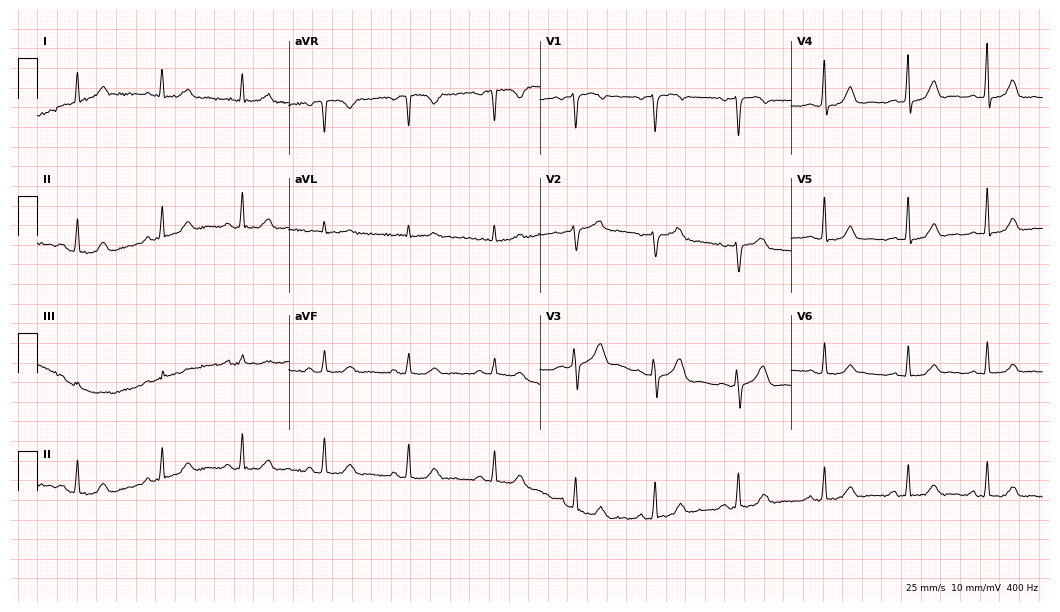
ECG (10.2-second recording at 400 Hz) — a female patient, 46 years old. Labelled as a normal ECG.